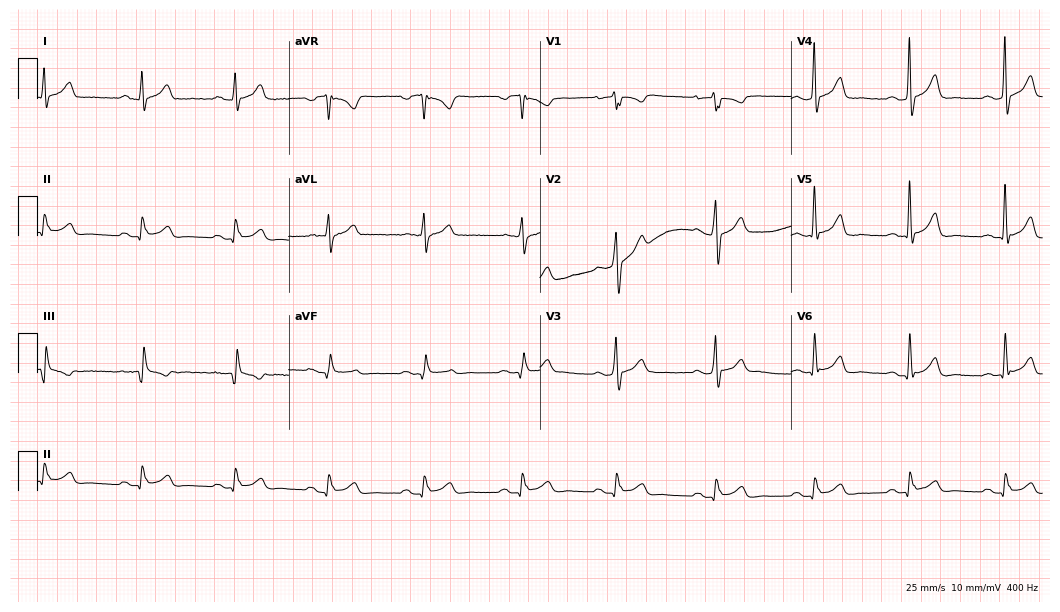
12-lead ECG (10.2-second recording at 400 Hz) from a male patient, 28 years old. Screened for six findings — first-degree AV block, right bundle branch block, left bundle branch block, sinus bradycardia, atrial fibrillation, sinus tachycardia — none is recorded. Only these six findings were labelled.